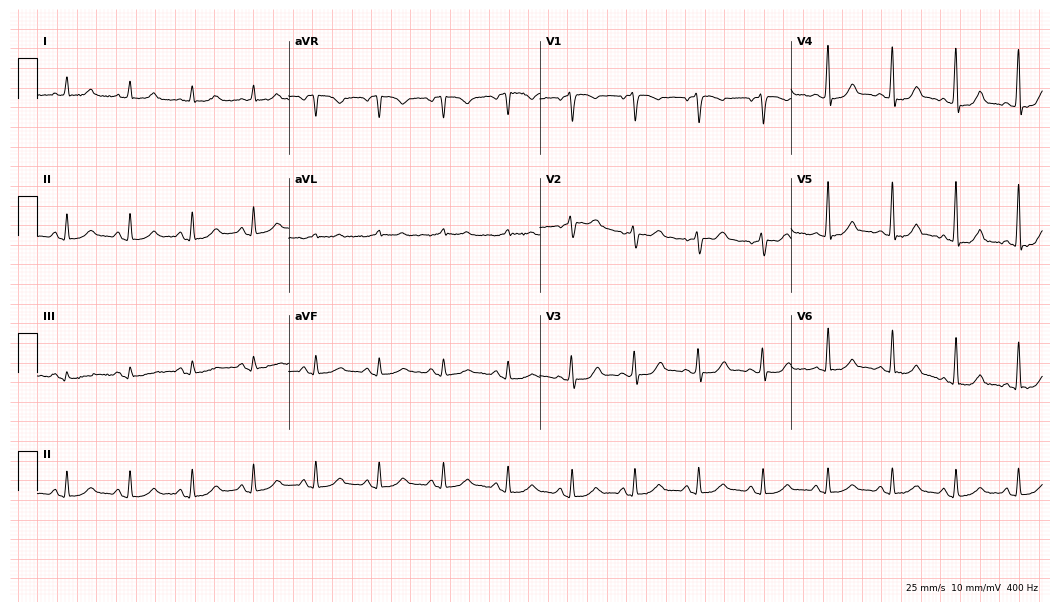
Standard 12-lead ECG recorded from a 51-year-old male patient (10.2-second recording at 400 Hz). Read as a normal ECG.